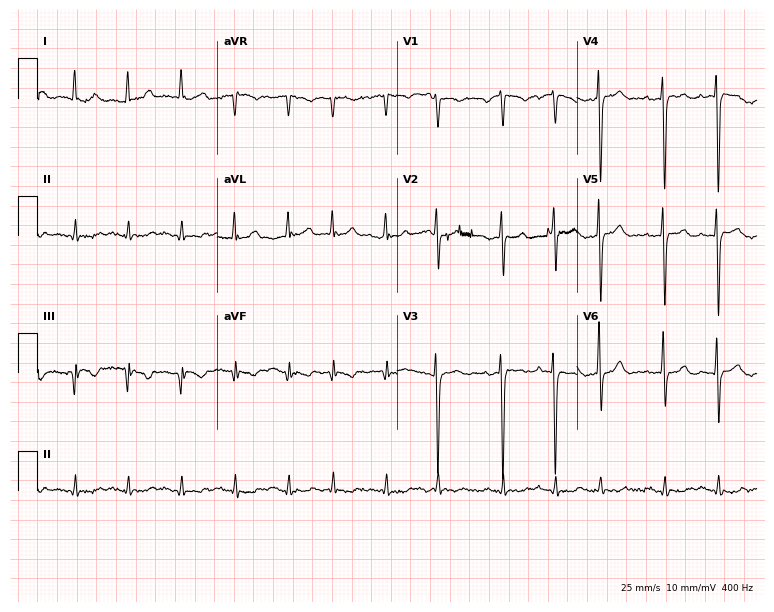
Standard 12-lead ECG recorded from an 85-year-old female (7.3-second recording at 400 Hz). The tracing shows sinus tachycardia (a sinus rate of 100 beats per minute or more).